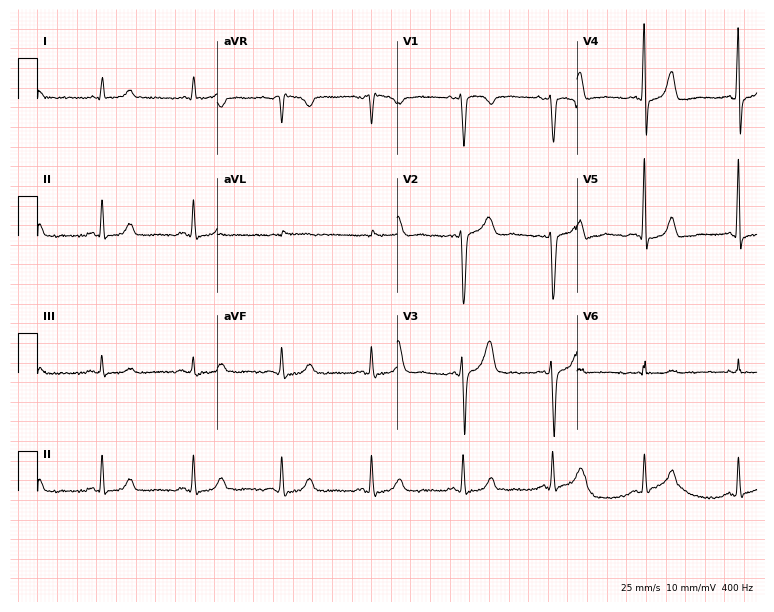
Resting 12-lead electrocardiogram (7.3-second recording at 400 Hz). Patient: a woman, 85 years old. Read as a normal ECG.